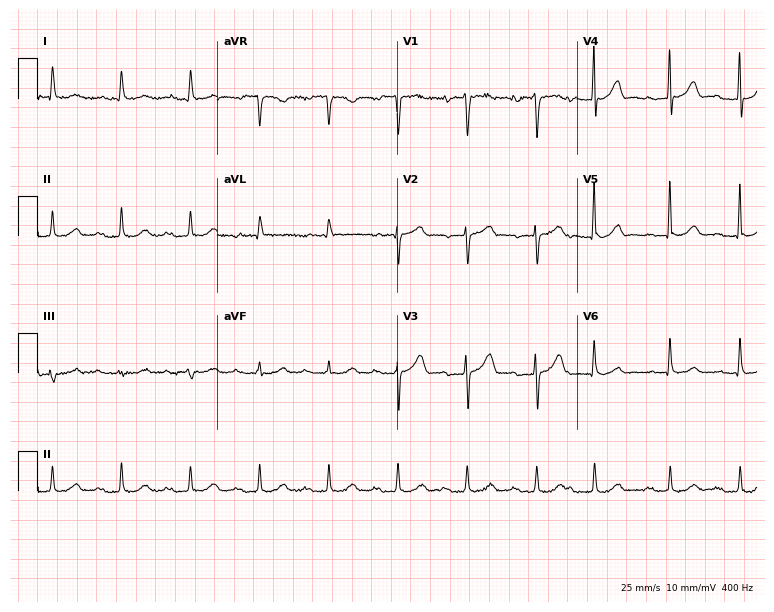
Electrocardiogram, a 79-year-old male. Interpretation includes first-degree AV block.